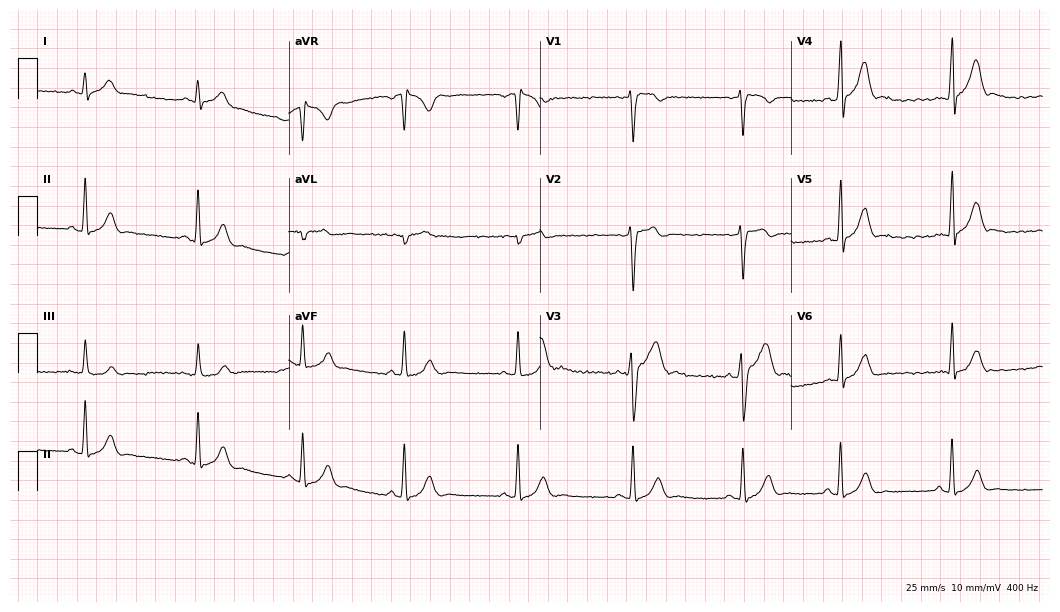
Standard 12-lead ECG recorded from a man, 22 years old (10.2-second recording at 400 Hz). Read as a normal ECG.